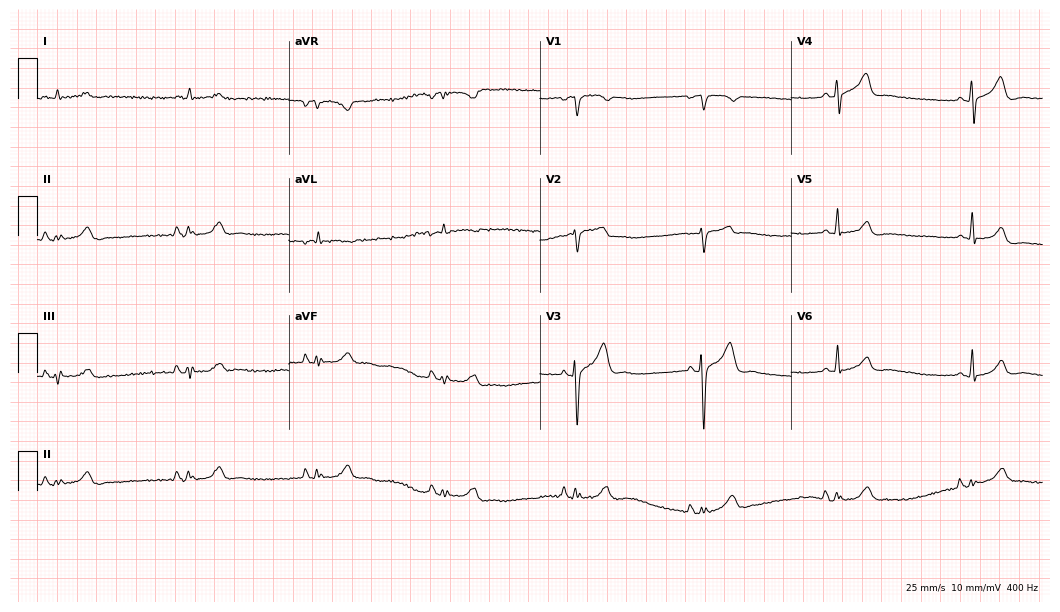
Standard 12-lead ECG recorded from a 70-year-old man (10.2-second recording at 400 Hz). The tracing shows sinus bradycardia (a sinus rate of 50 beats per minute or less).